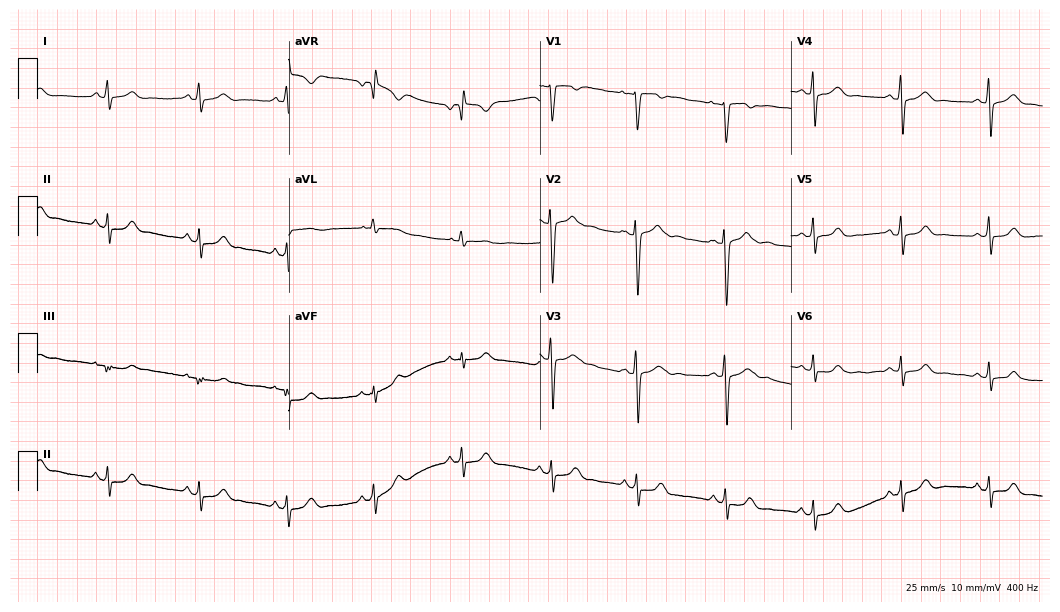
Electrocardiogram, a 35-year-old man. Of the six screened findings (first-degree AV block, right bundle branch block, left bundle branch block, sinus bradycardia, atrial fibrillation, sinus tachycardia), none is recorded. Other findings, if any, are not listed.